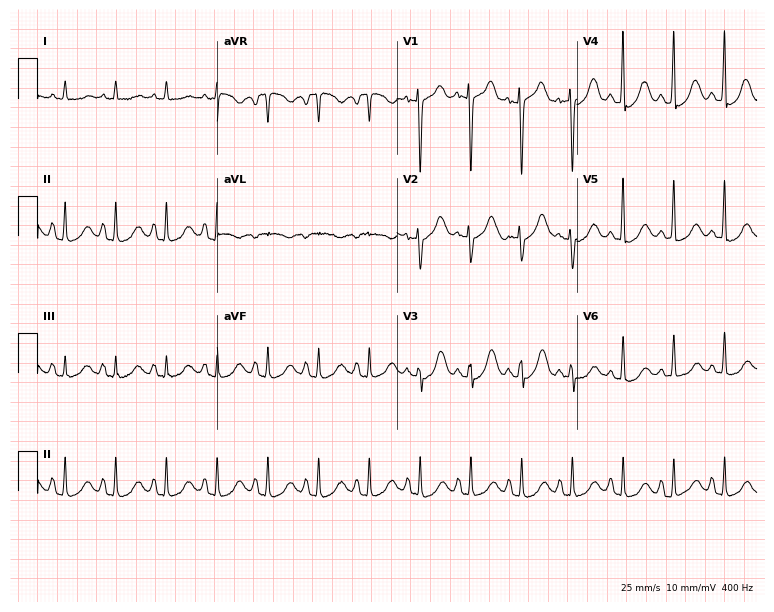
Resting 12-lead electrocardiogram. Patient: an 83-year-old woman. None of these six findings is recorded: first-degree AV block, right bundle branch block (RBBB), left bundle branch block (LBBB), sinus bradycardia, atrial fibrillation (AF), sinus tachycardia.